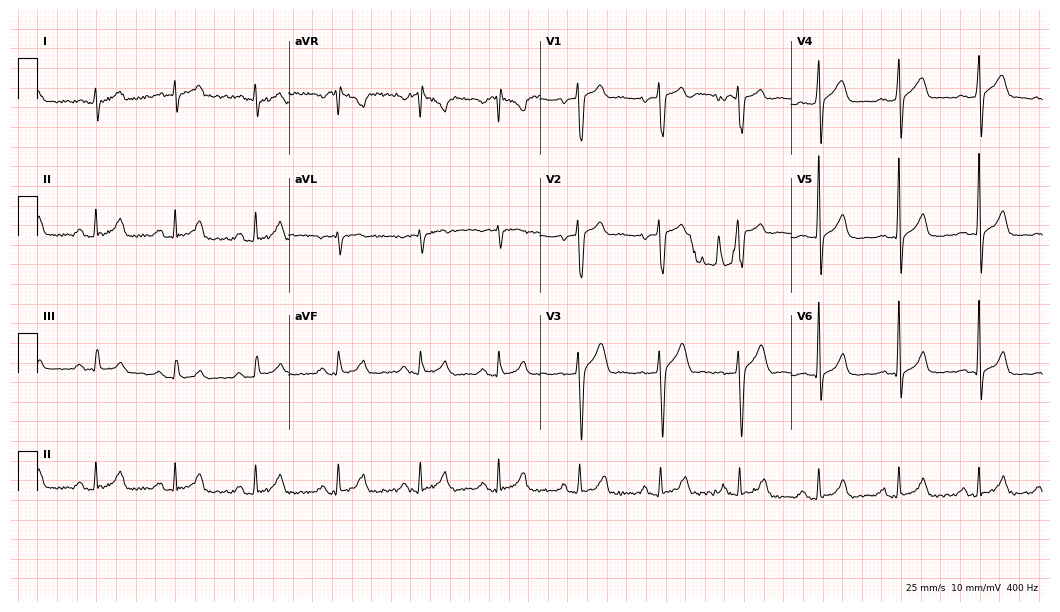
ECG — a 32-year-old man. Screened for six findings — first-degree AV block, right bundle branch block (RBBB), left bundle branch block (LBBB), sinus bradycardia, atrial fibrillation (AF), sinus tachycardia — none is recorded. Other findings, if any, are not listed.